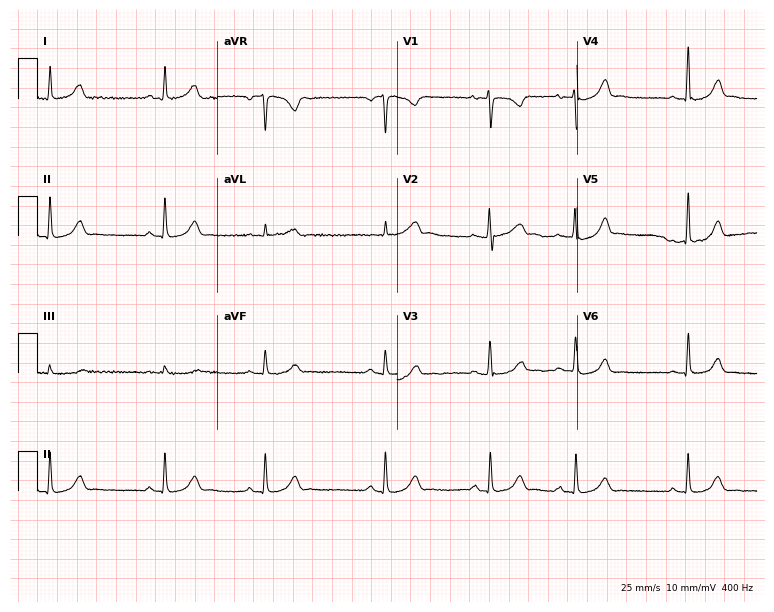
Standard 12-lead ECG recorded from a 25-year-old female. Read as a normal ECG.